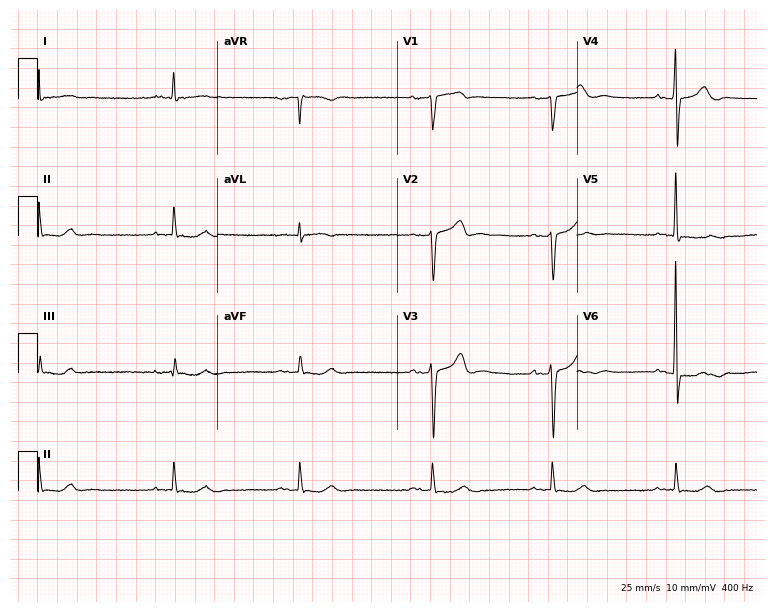
Electrocardiogram, a 78-year-old man. Of the six screened findings (first-degree AV block, right bundle branch block, left bundle branch block, sinus bradycardia, atrial fibrillation, sinus tachycardia), none is recorded. Findings outside these six are not listed.